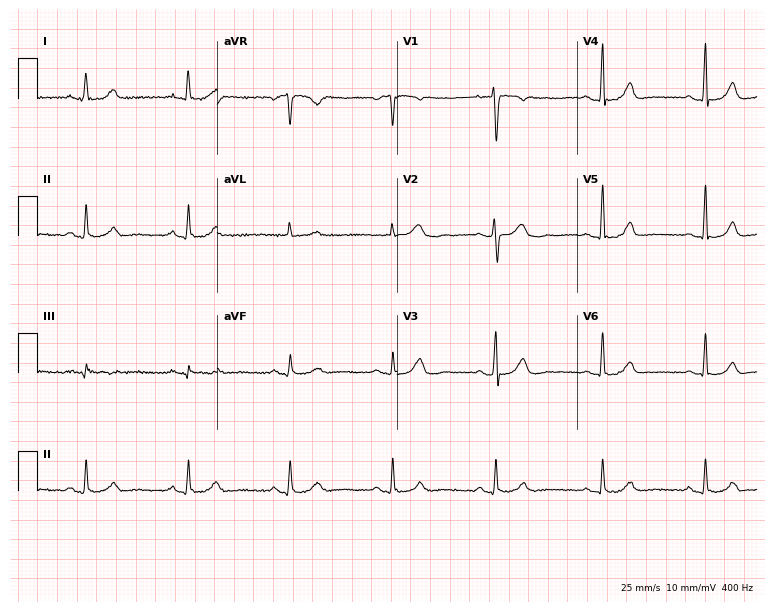
Resting 12-lead electrocardiogram (7.3-second recording at 400 Hz). Patient: a woman, 59 years old. Read as a normal ECG.